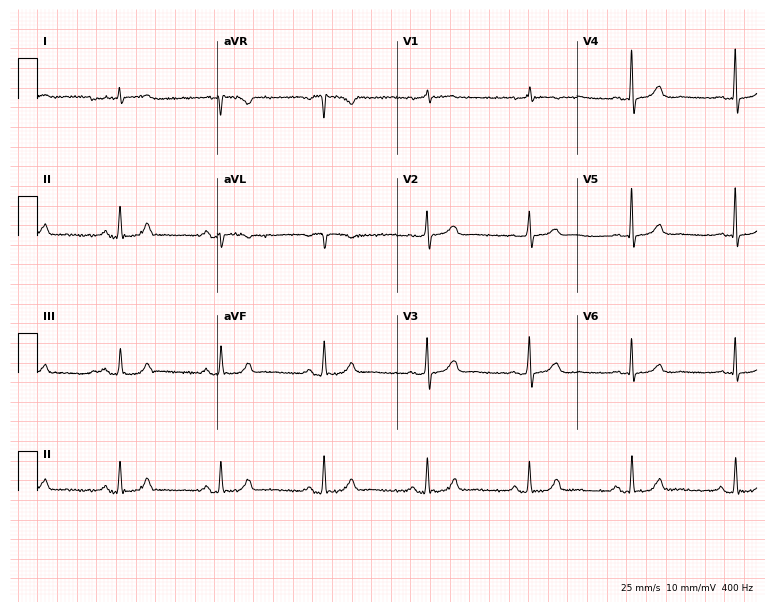
Electrocardiogram, an 85-year-old male patient. Of the six screened findings (first-degree AV block, right bundle branch block, left bundle branch block, sinus bradycardia, atrial fibrillation, sinus tachycardia), none is recorded. Other findings, if any, are not listed.